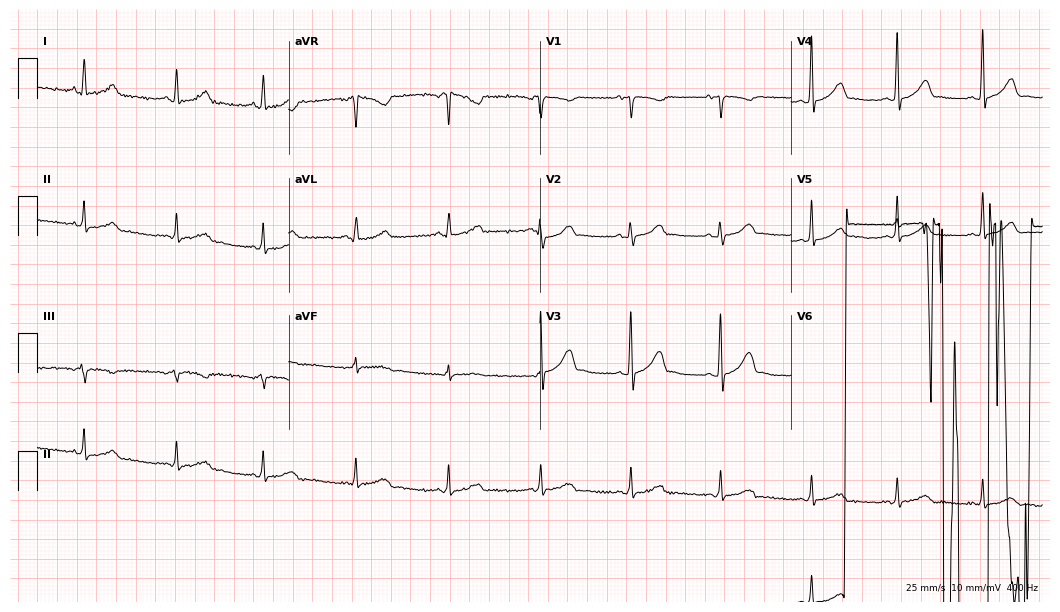
Standard 12-lead ECG recorded from a 21-year-old female patient (10.2-second recording at 400 Hz). Read as a normal ECG.